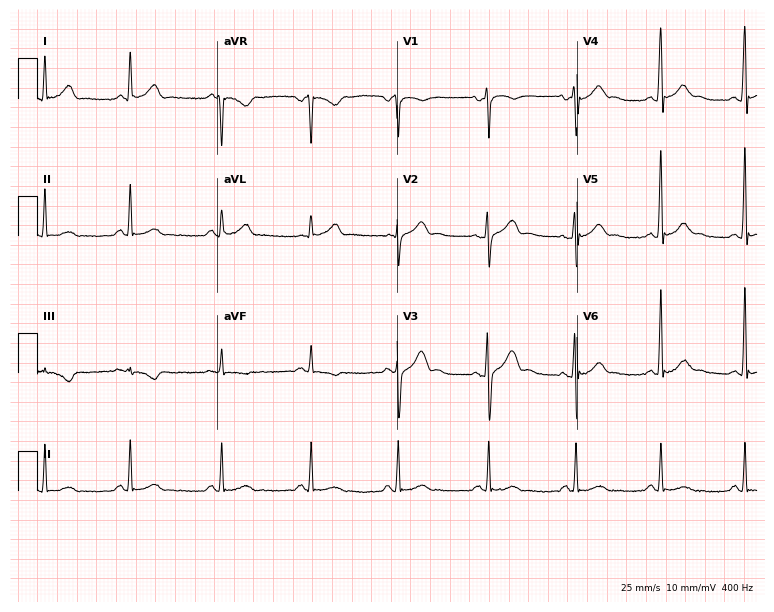
Electrocardiogram (7.3-second recording at 400 Hz), a male, 32 years old. Overall reading on record: normal ECG.